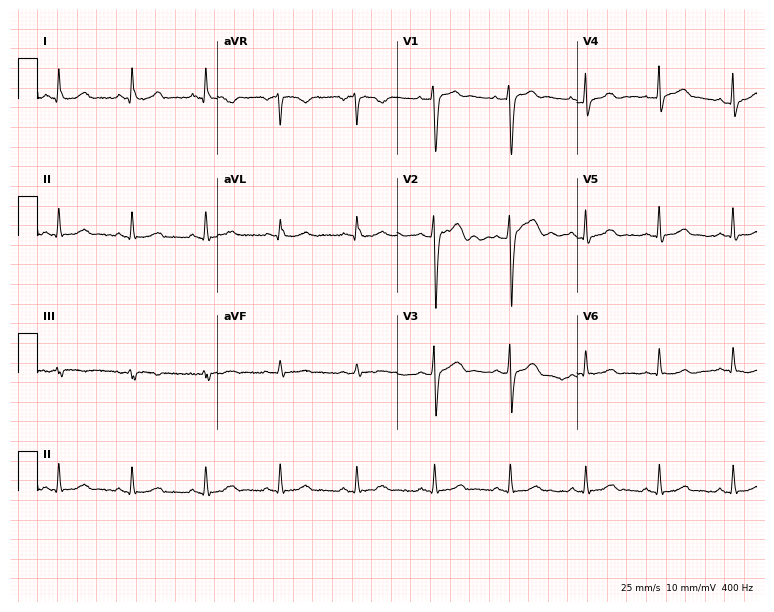
ECG — a 39-year-old male patient. Labelled as a normal ECG.